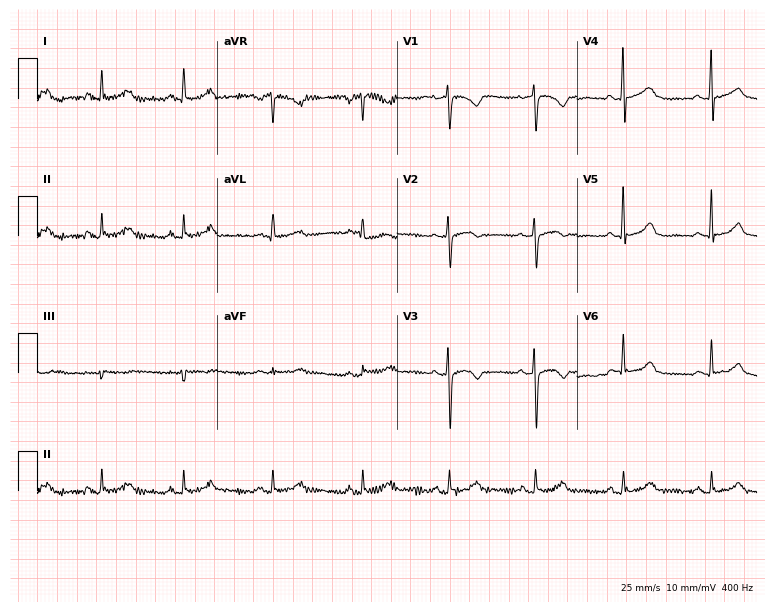
12-lead ECG from a woman, 63 years old. Screened for six findings — first-degree AV block, right bundle branch block, left bundle branch block, sinus bradycardia, atrial fibrillation, sinus tachycardia — none is recorded. Other findings, if any, are not listed.